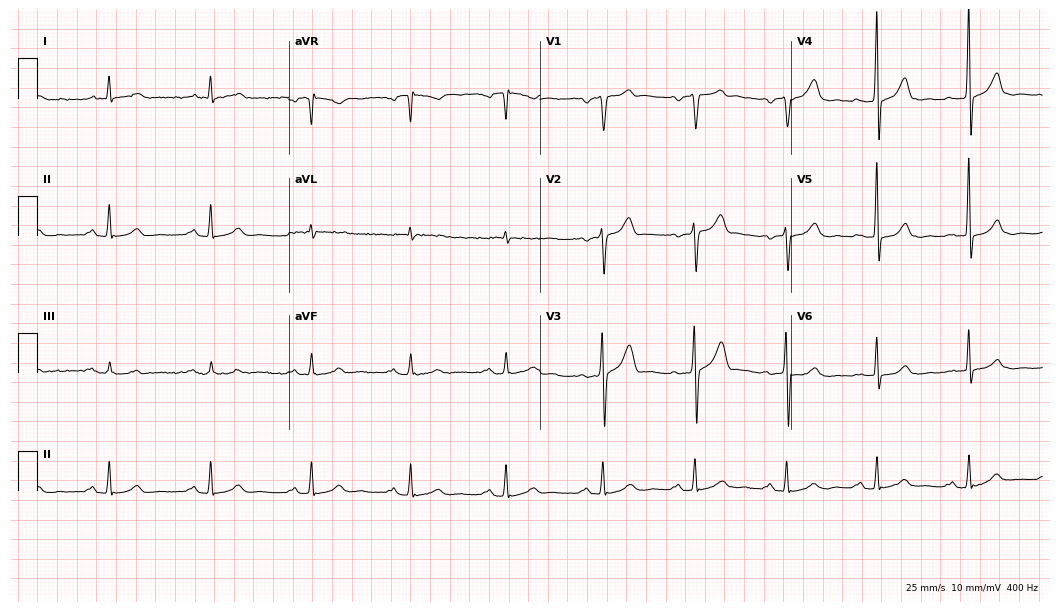
12-lead ECG (10.2-second recording at 400 Hz) from a 55-year-old male. Screened for six findings — first-degree AV block, right bundle branch block, left bundle branch block, sinus bradycardia, atrial fibrillation, sinus tachycardia — none is recorded.